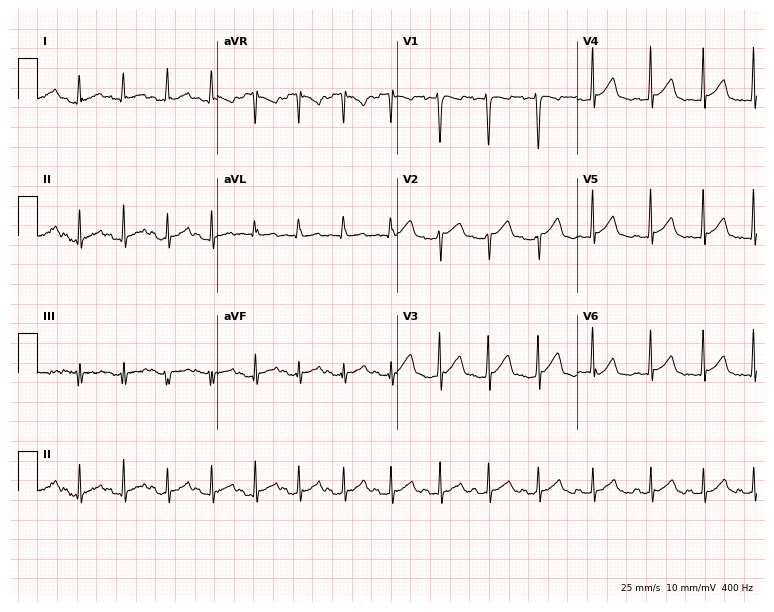
ECG (7.3-second recording at 400 Hz) — a 23-year-old female. Findings include sinus tachycardia (a sinus rate of 100 beats per minute or more).